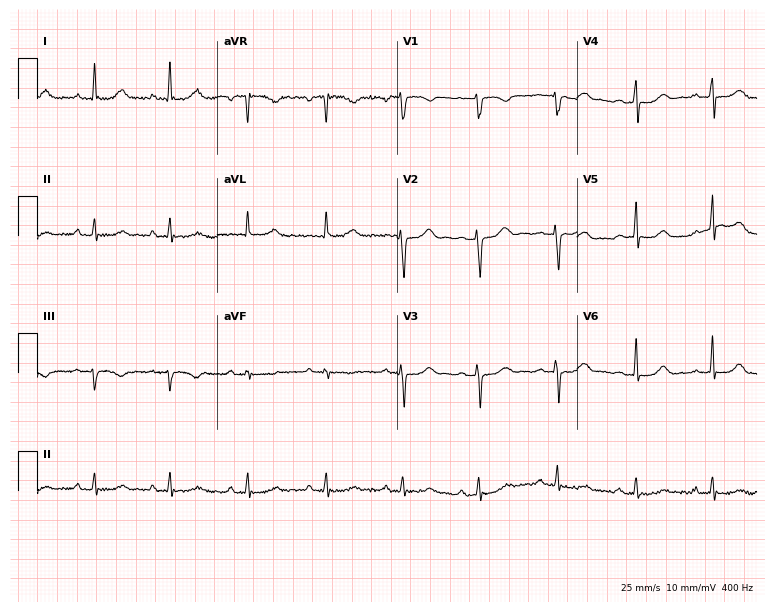
Standard 12-lead ECG recorded from a male patient, 64 years old (7.3-second recording at 400 Hz). Read as a normal ECG.